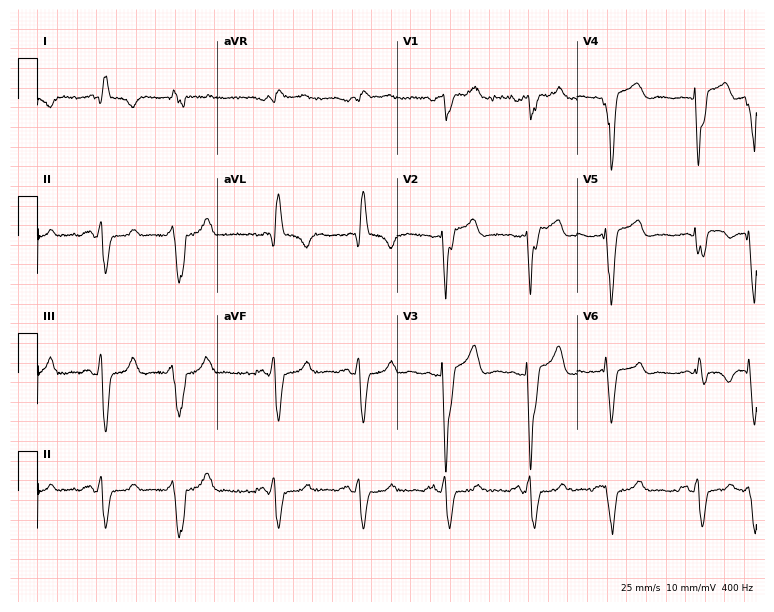
Electrocardiogram (7.3-second recording at 400 Hz), a 63-year-old male. Interpretation includes left bundle branch block.